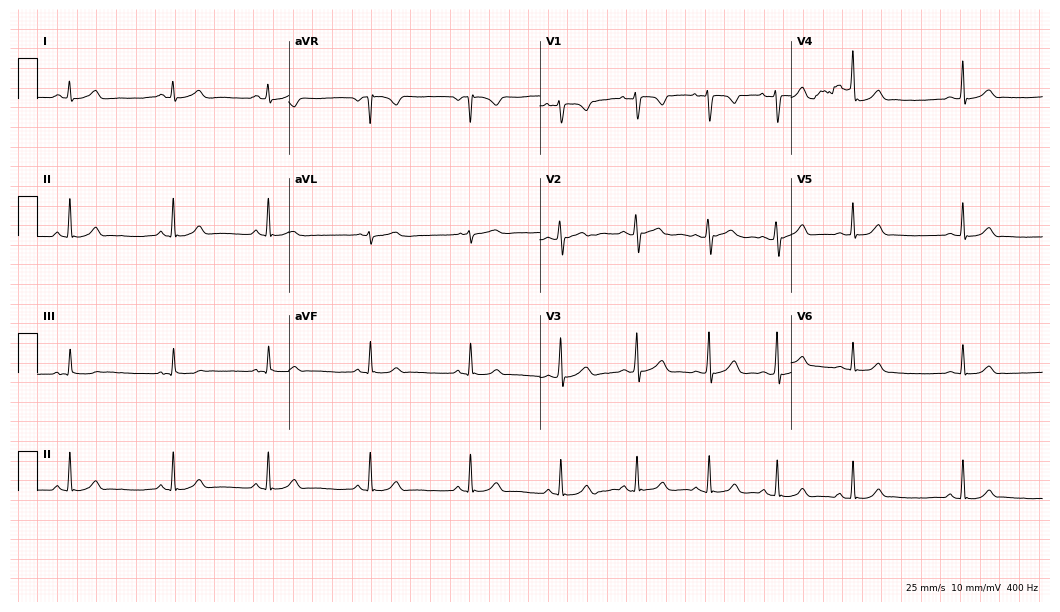
Resting 12-lead electrocardiogram. Patient: a woman, 19 years old. None of these six findings is recorded: first-degree AV block, right bundle branch block, left bundle branch block, sinus bradycardia, atrial fibrillation, sinus tachycardia. Only these six findings were labelled.